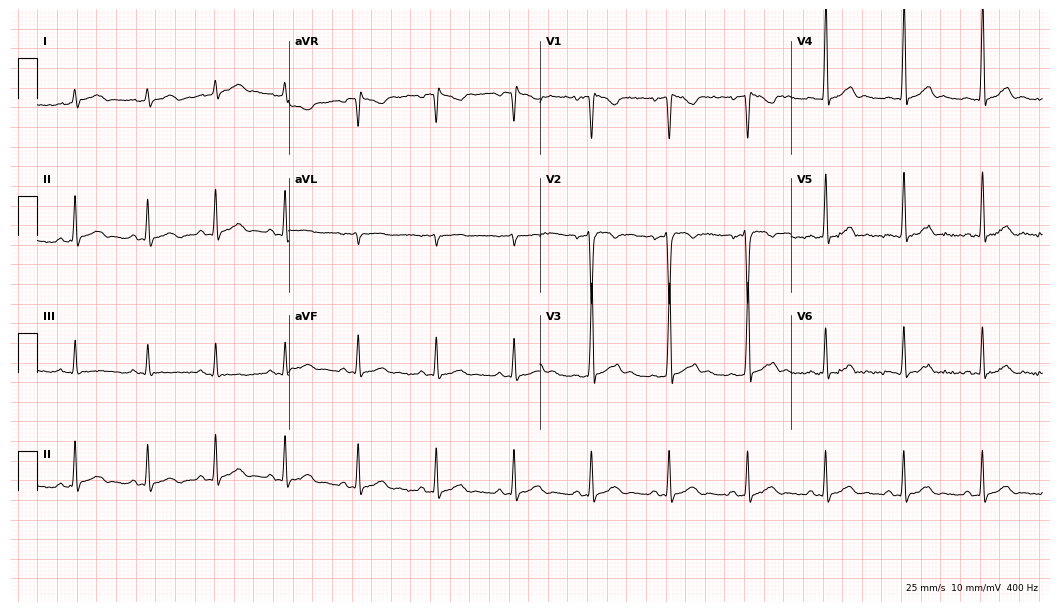
Resting 12-lead electrocardiogram. Patient: a male, 28 years old. Read as a normal ECG.